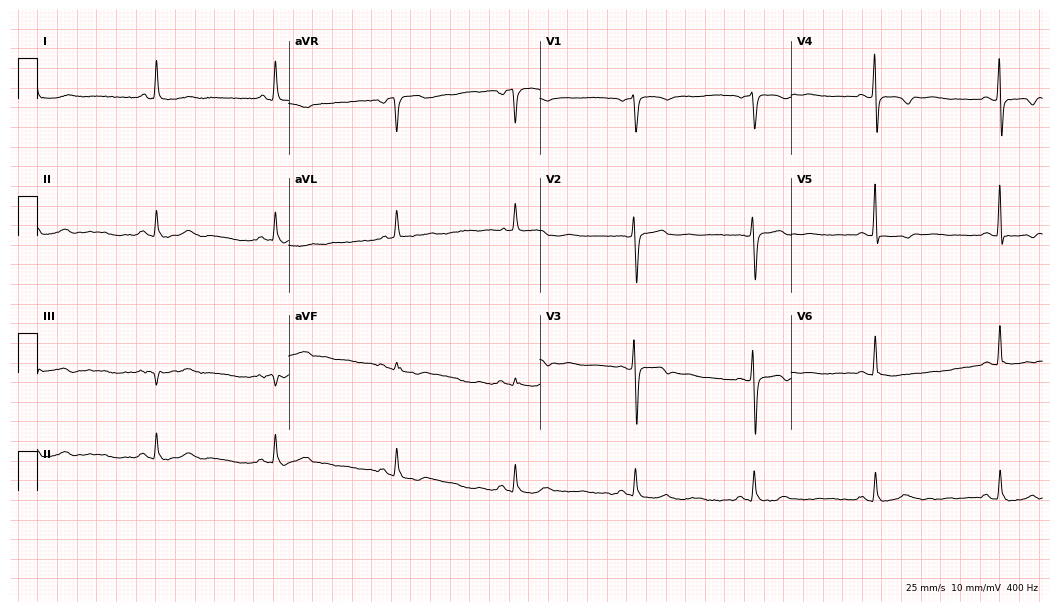
12-lead ECG from an 80-year-old woman. Shows sinus bradycardia (a sinus rate of 50 beats per minute or less).